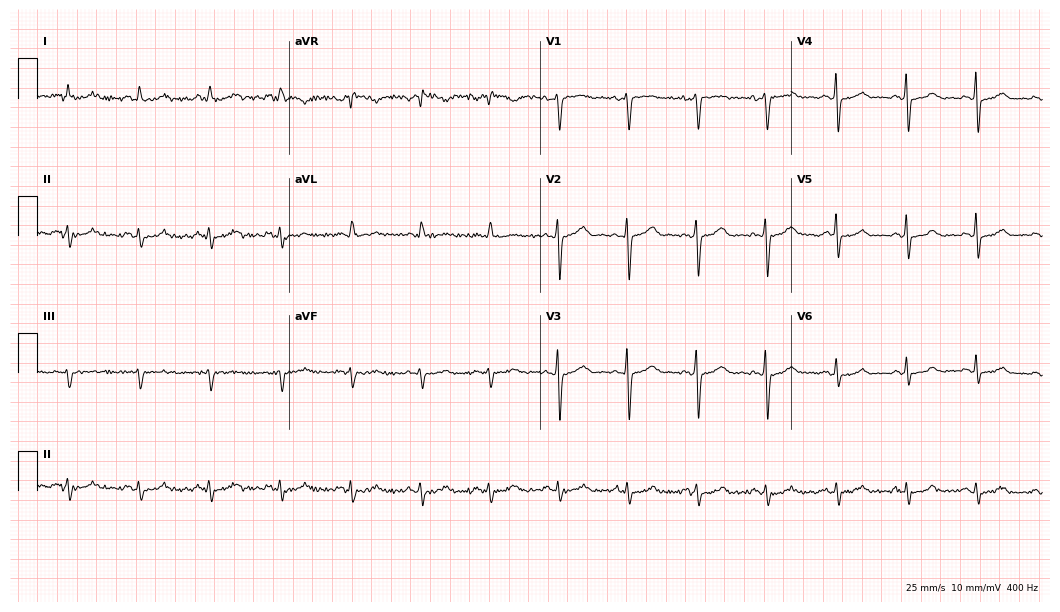
12-lead ECG from a female patient, 53 years old. Recorded interpretation: within normal limits.